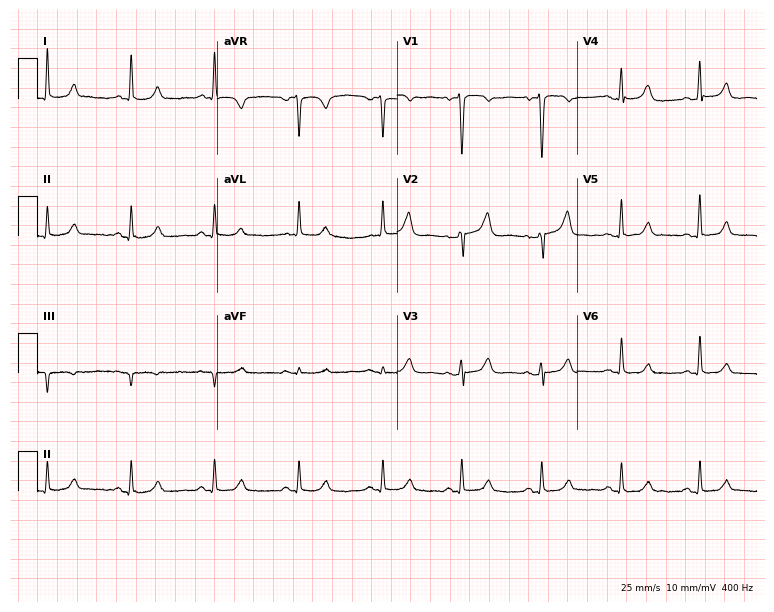
12-lead ECG from a female, 48 years old. Recorded interpretation: within normal limits.